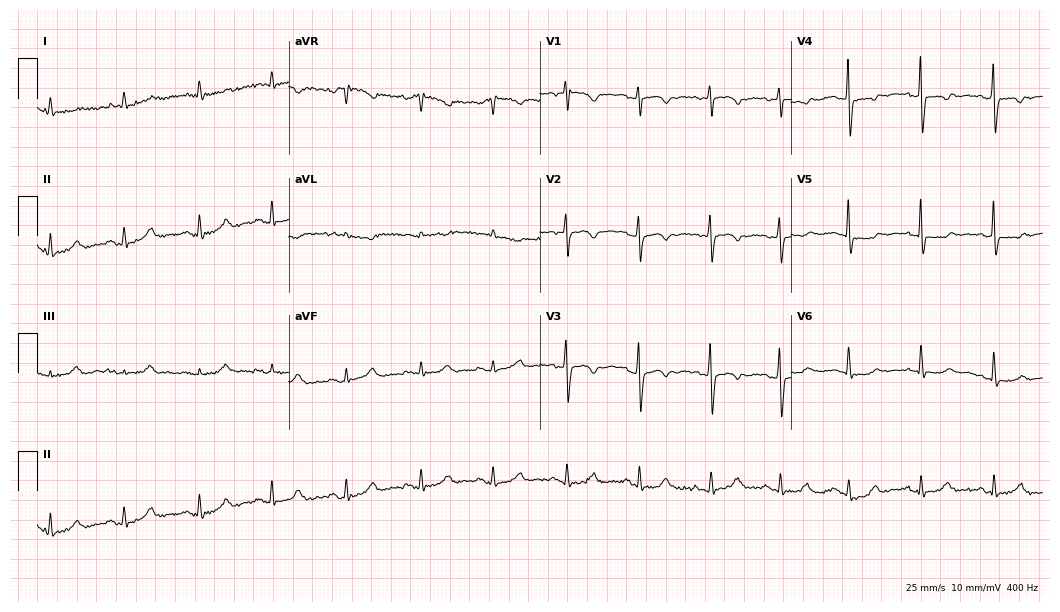
Electrocardiogram, a 71-year-old female patient. Of the six screened findings (first-degree AV block, right bundle branch block, left bundle branch block, sinus bradycardia, atrial fibrillation, sinus tachycardia), none is recorded.